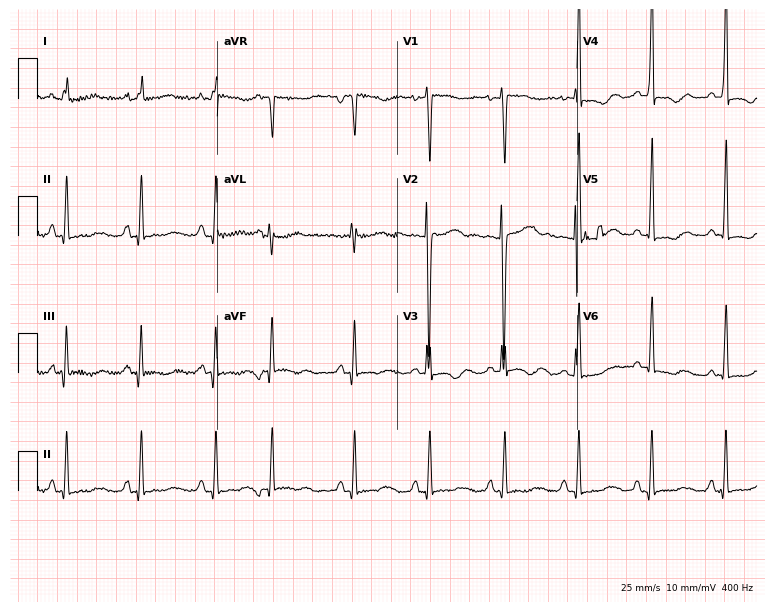
12-lead ECG from a 34-year-old female patient. Screened for six findings — first-degree AV block, right bundle branch block, left bundle branch block, sinus bradycardia, atrial fibrillation, sinus tachycardia — none is recorded.